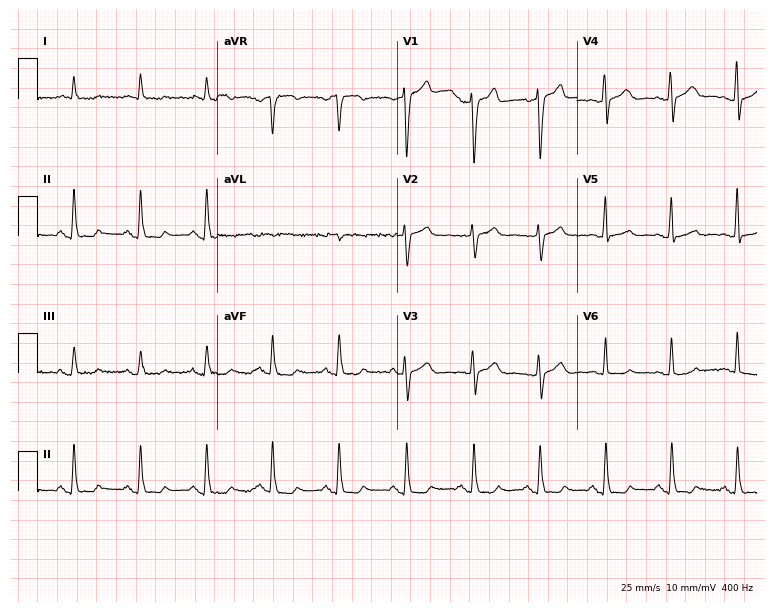
Resting 12-lead electrocardiogram. Patient: a male, 71 years old. None of these six findings is recorded: first-degree AV block, right bundle branch block, left bundle branch block, sinus bradycardia, atrial fibrillation, sinus tachycardia.